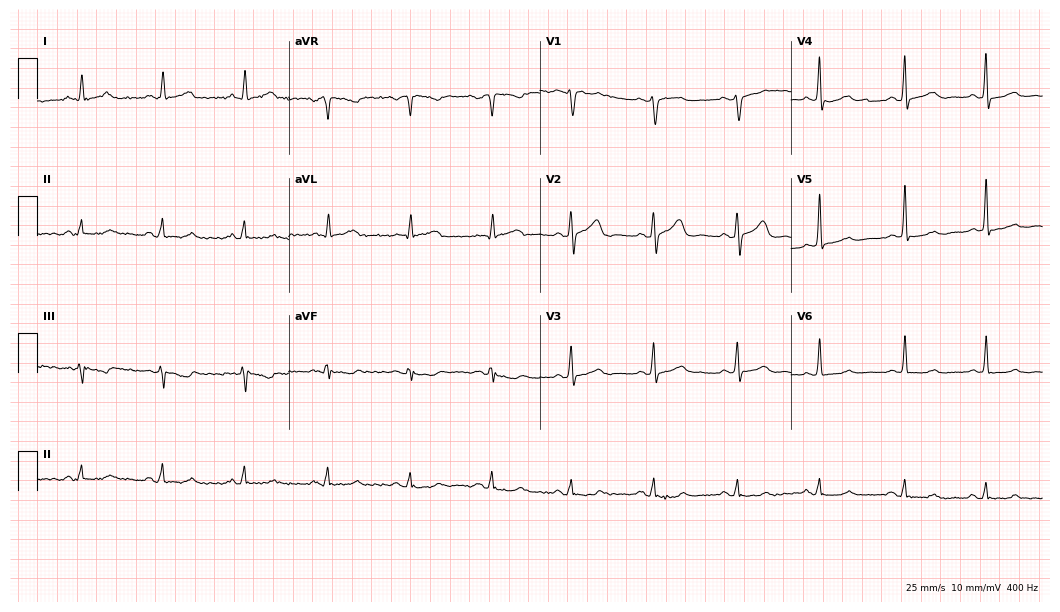
12-lead ECG (10.2-second recording at 400 Hz) from a female patient, 45 years old. Labelled as a normal ECG.